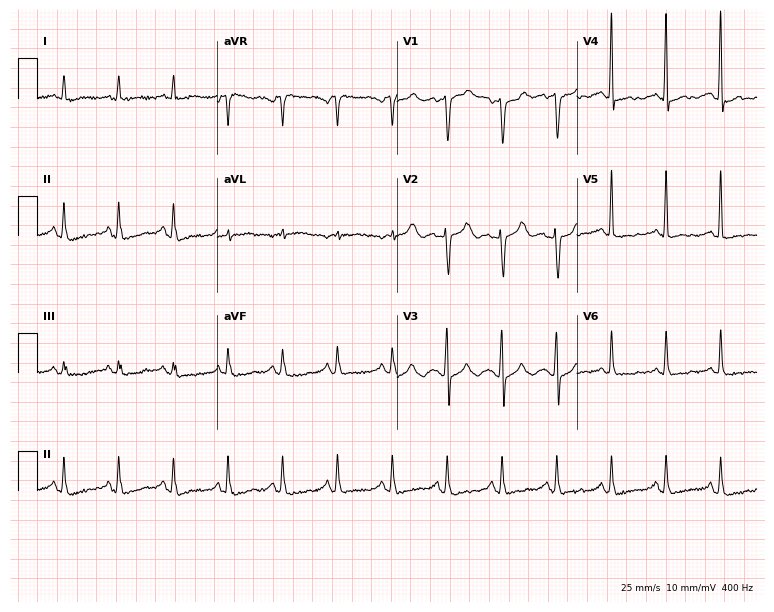
12-lead ECG (7.3-second recording at 400 Hz) from a female, 70 years old. Screened for six findings — first-degree AV block, right bundle branch block (RBBB), left bundle branch block (LBBB), sinus bradycardia, atrial fibrillation (AF), sinus tachycardia — none is recorded.